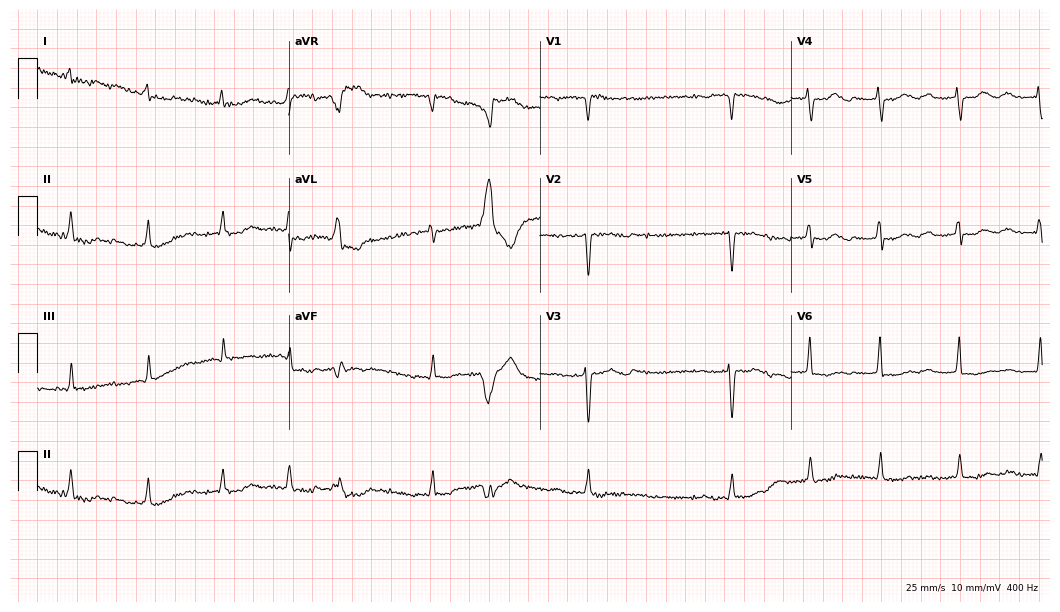
12-lead ECG (10.2-second recording at 400 Hz) from a woman, 78 years old. Screened for six findings — first-degree AV block, right bundle branch block, left bundle branch block, sinus bradycardia, atrial fibrillation, sinus tachycardia — none is recorded.